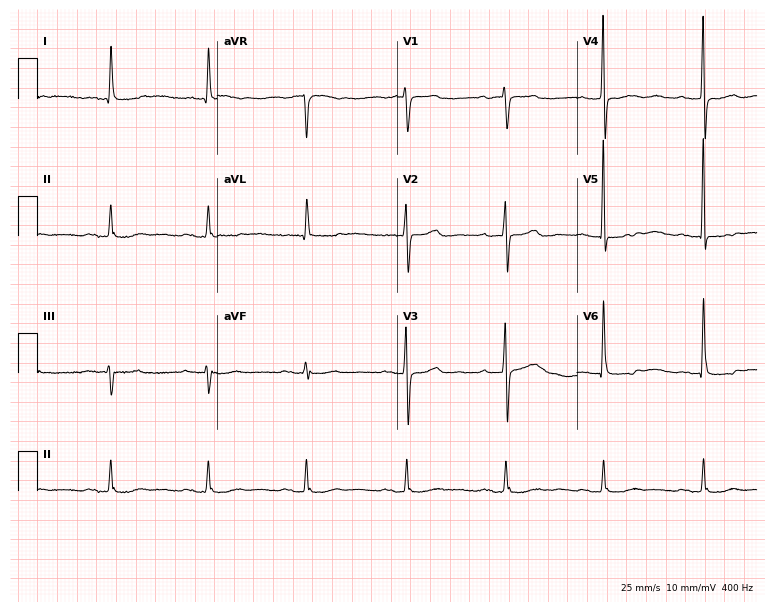
12-lead ECG from a 76-year-old woman. Shows first-degree AV block.